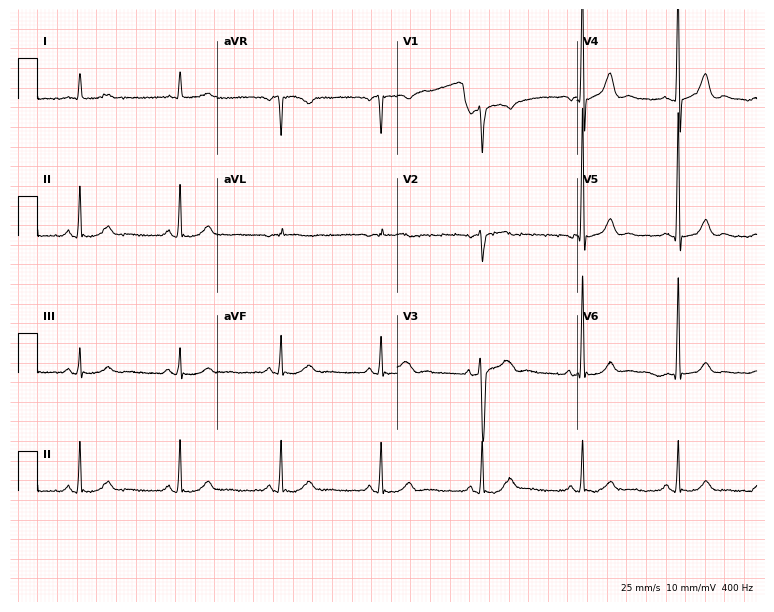
Resting 12-lead electrocardiogram (7.3-second recording at 400 Hz). Patient: a man, 80 years old. Read as a normal ECG.